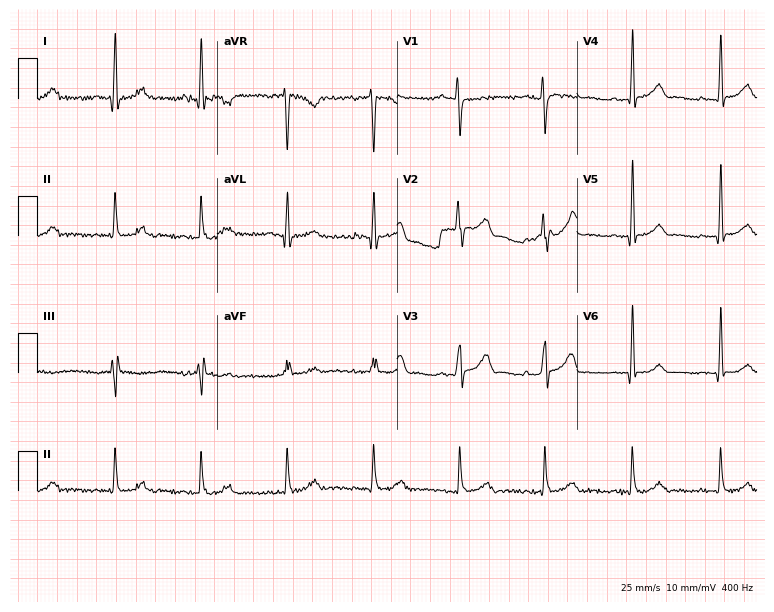
Standard 12-lead ECG recorded from a 44-year-old female (7.3-second recording at 400 Hz). Read as a normal ECG.